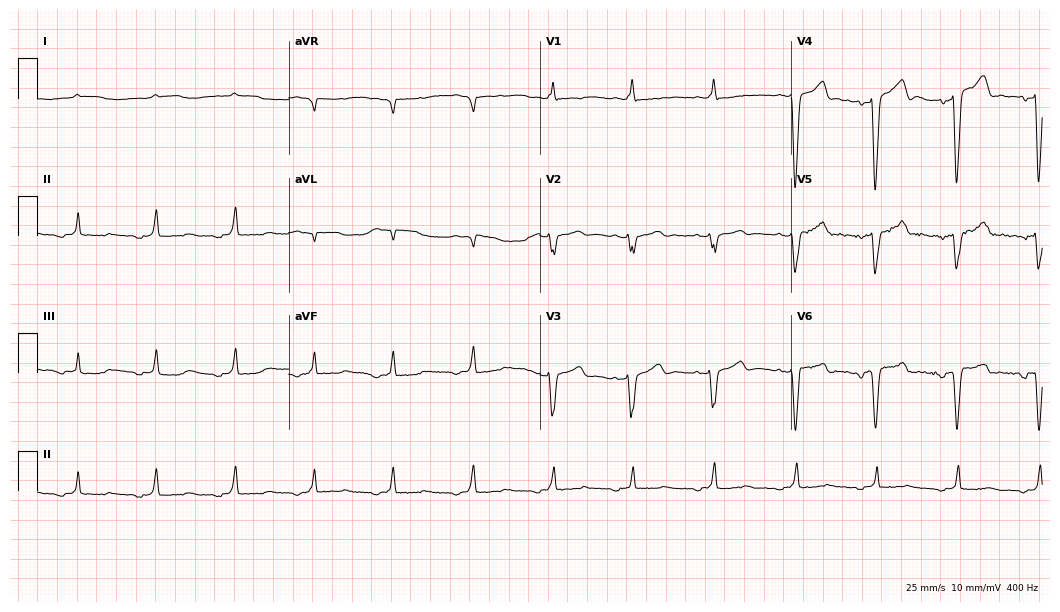
ECG (10.2-second recording at 400 Hz) — a 52-year-old female patient. Screened for six findings — first-degree AV block, right bundle branch block (RBBB), left bundle branch block (LBBB), sinus bradycardia, atrial fibrillation (AF), sinus tachycardia — none is recorded.